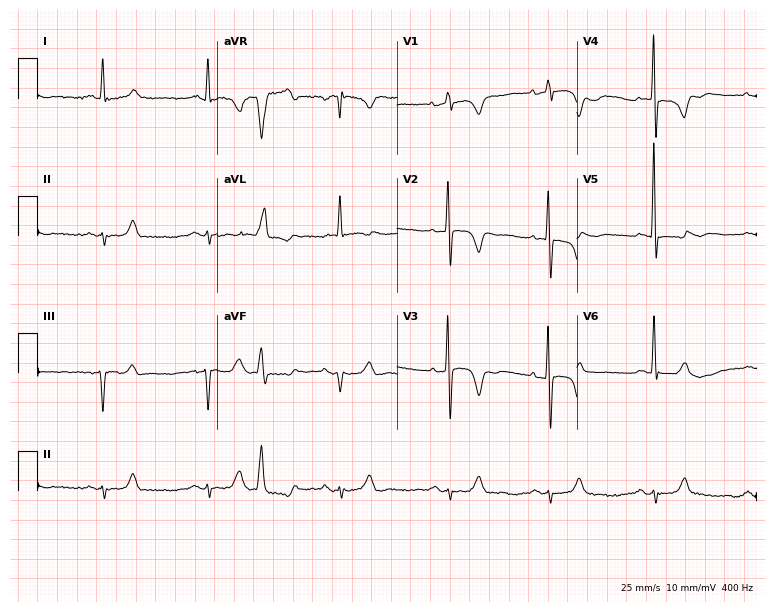
Resting 12-lead electrocardiogram. Patient: an 83-year-old female. None of these six findings is recorded: first-degree AV block, right bundle branch block, left bundle branch block, sinus bradycardia, atrial fibrillation, sinus tachycardia.